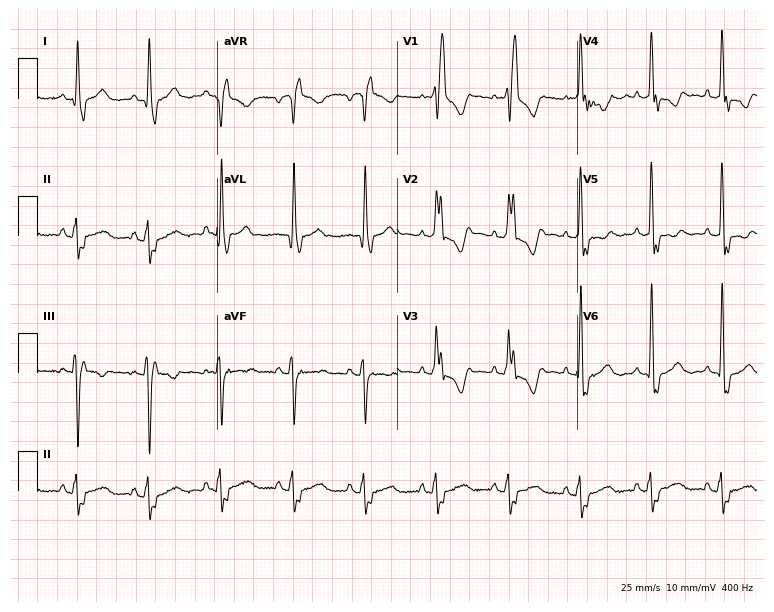
12-lead ECG from a 71-year-old man. Shows right bundle branch block.